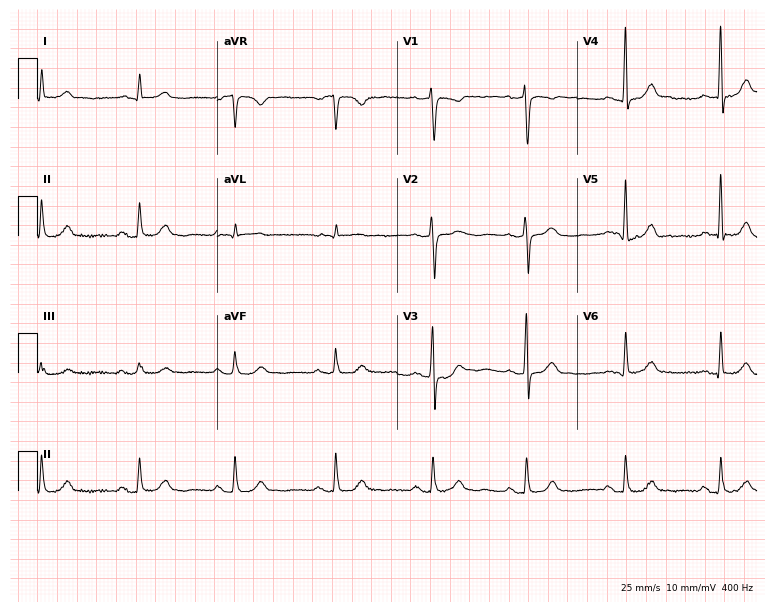
12-lead ECG from a female, 70 years old. Labelled as a normal ECG.